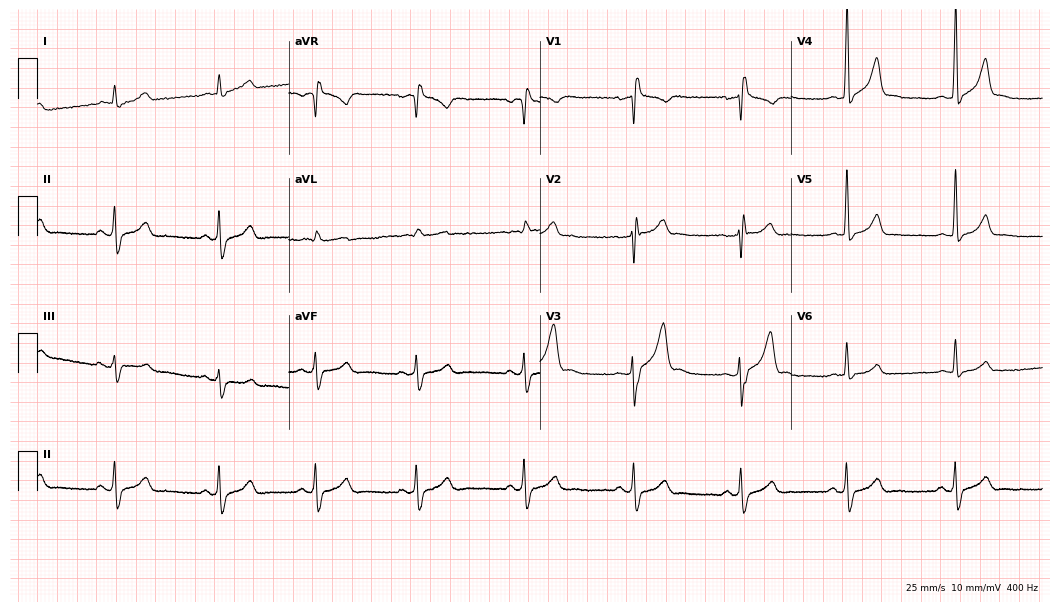
ECG (10.2-second recording at 400 Hz) — a man, 56 years old. Findings include right bundle branch block.